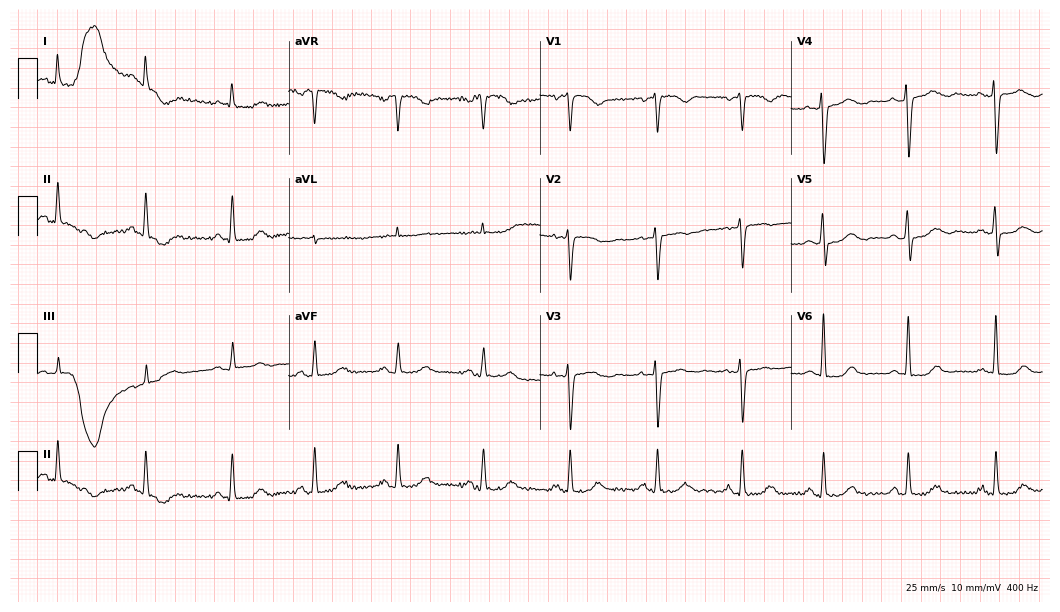
ECG — a female patient, 67 years old. Labelled as a normal ECG.